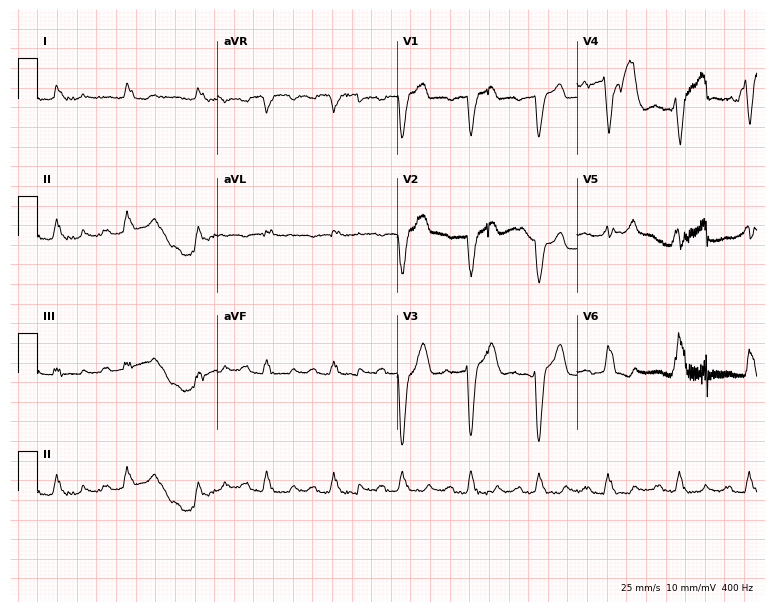
12-lead ECG (7.3-second recording at 400 Hz) from a male, 75 years old. Screened for six findings — first-degree AV block, right bundle branch block, left bundle branch block, sinus bradycardia, atrial fibrillation, sinus tachycardia — none is recorded. Findings outside these six are not listed.